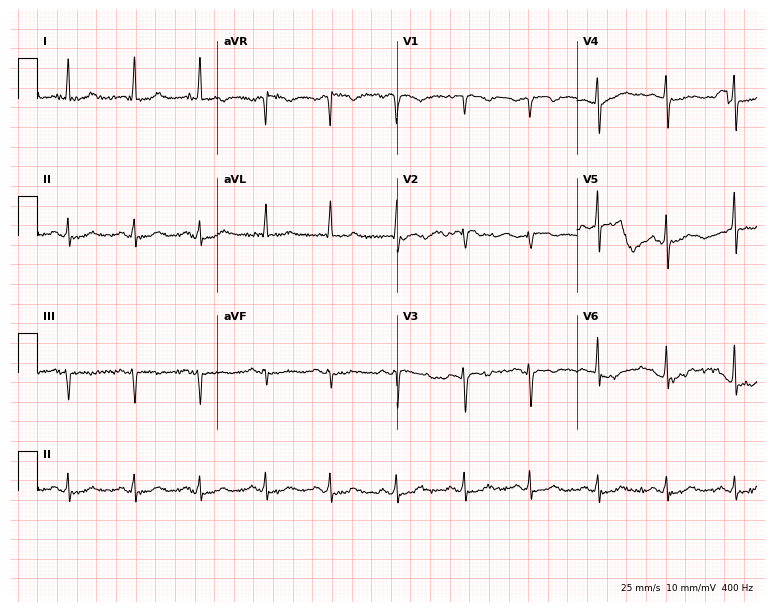
Resting 12-lead electrocardiogram (7.3-second recording at 400 Hz). Patient: a woman, 75 years old. None of these six findings is recorded: first-degree AV block, right bundle branch block, left bundle branch block, sinus bradycardia, atrial fibrillation, sinus tachycardia. Findings outside these six are not listed.